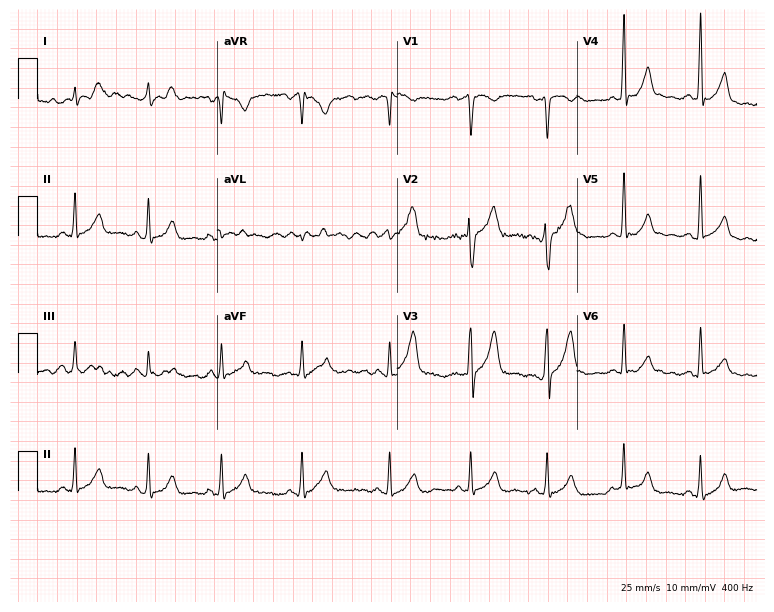
Standard 12-lead ECG recorded from a 23-year-old man (7.3-second recording at 400 Hz). Read as a normal ECG.